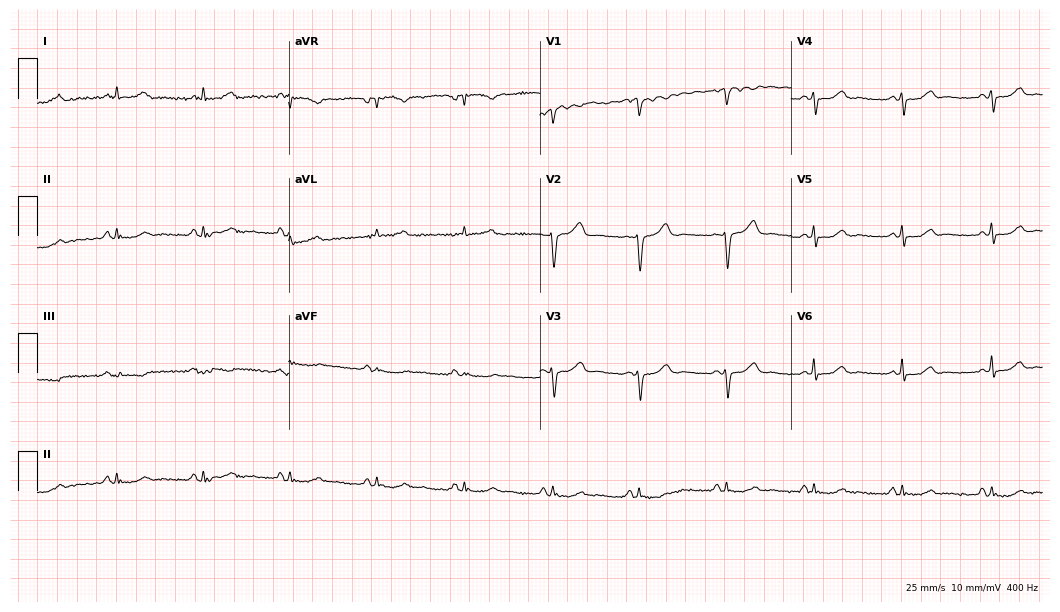
12-lead ECG from a 77-year-old male patient. No first-degree AV block, right bundle branch block, left bundle branch block, sinus bradycardia, atrial fibrillation or sinus tachycardia recorded for this tracing. Other findings, if any, are not listed.